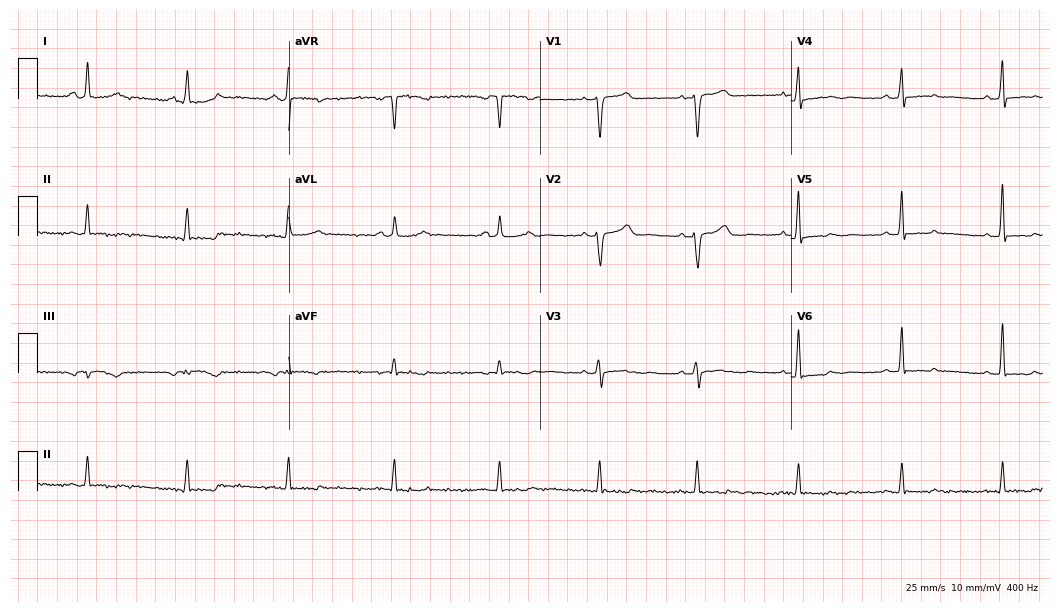
Standard 12-lead ECG recorded from a 54-year-old female. None of these six findings is recorded: first-degree AV block, right bundle branch block, left bundle branch block, sinus bradycardia, atrial fibrillation, sinus tachycardia. Only these six findings were labelled.